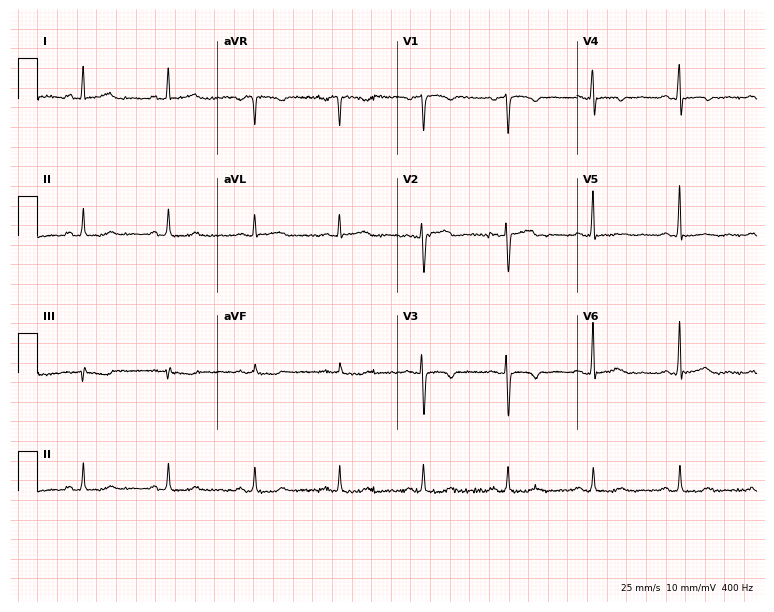
Standard 12-lead ECG recorded from a female patient, 58 years old. None of these six findings is recorded: first-degree AV block, right bundle branch block (RBBB), left bundle branch block (LBBB), sinus bradycardia, atrial fibrillation (AF), sinus tachycardia.